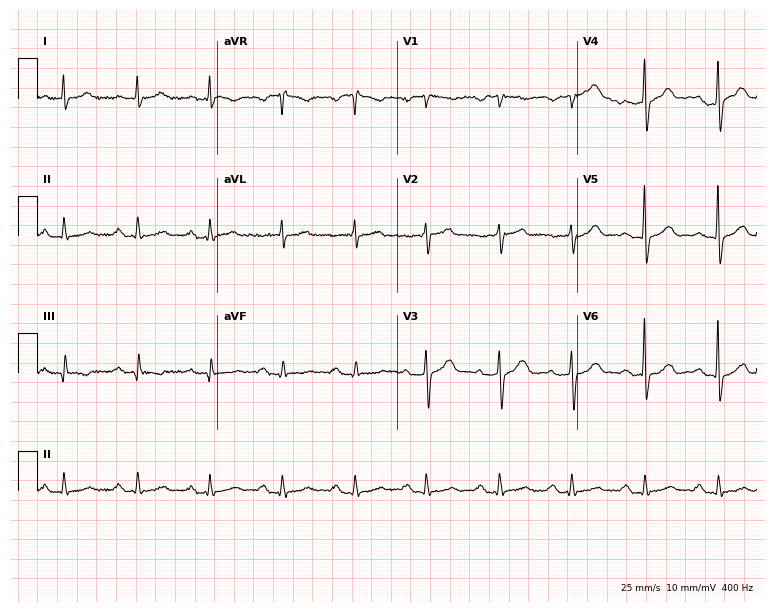
Electrocardiogram (7.3-second recording at 400 Hz), a male patient, 81 years old. Interpretation includes first-degree AV block.